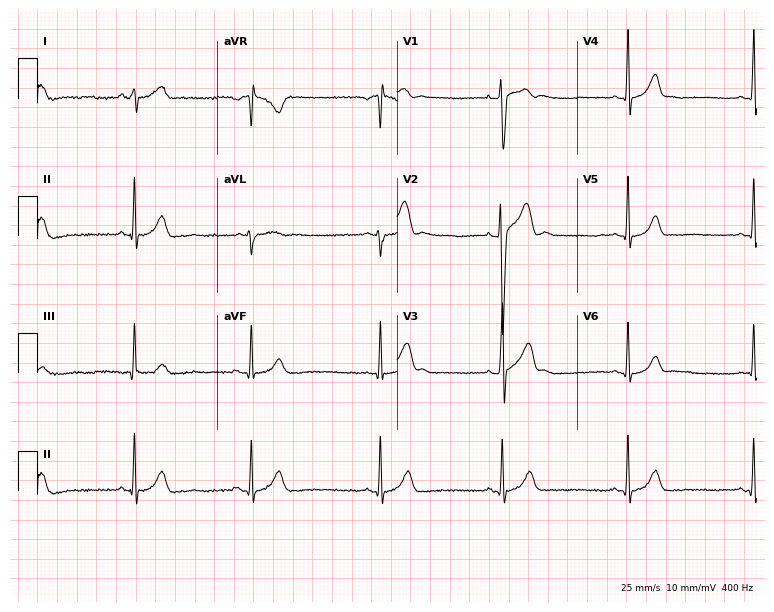
ECG (7.3-second recording at 400 Hz) — an 18-year-old male. Findings include sinus bradycardia (a sinus rate of 50 beats per minute or less).